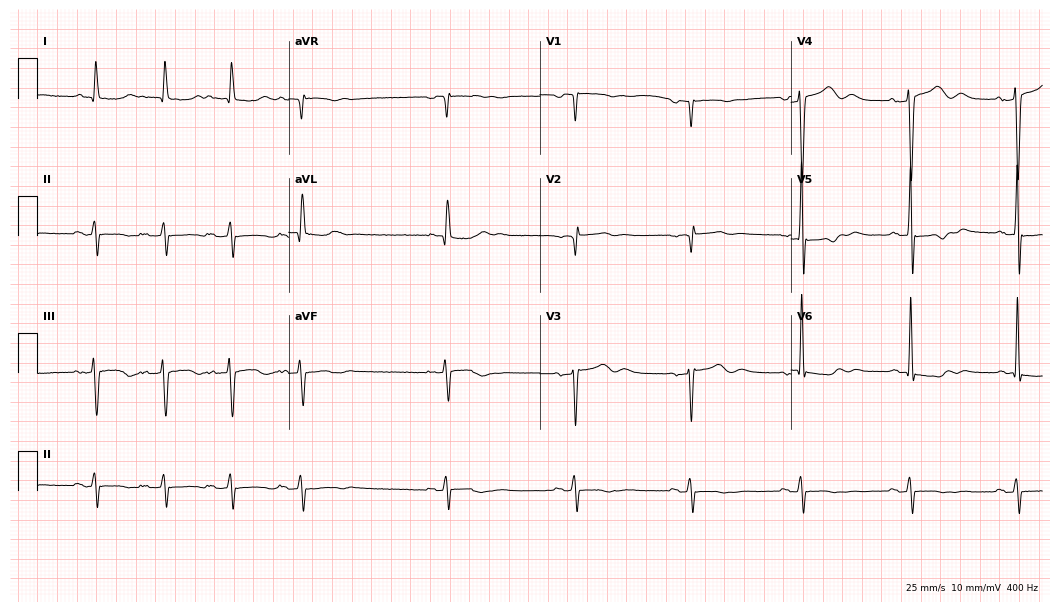
12-lead ECG (10.2-second recording at 400 Hz) from an 82-year-old female. Findings include first-degree AV block.